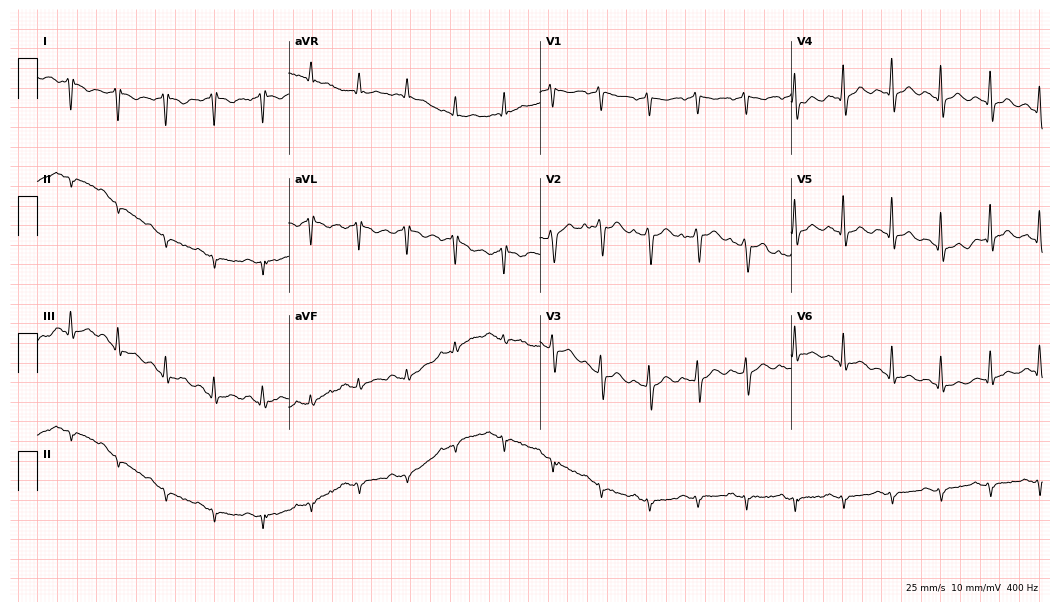
ECG — a male patient, 48 years old. Screened for six findings — first-degree AV block, right bundle branch block, left bundle branch block, sinus bradycardia, atrial fibrillation, sinus tachycardia — none is recorded. Findings outside these six are not listed.